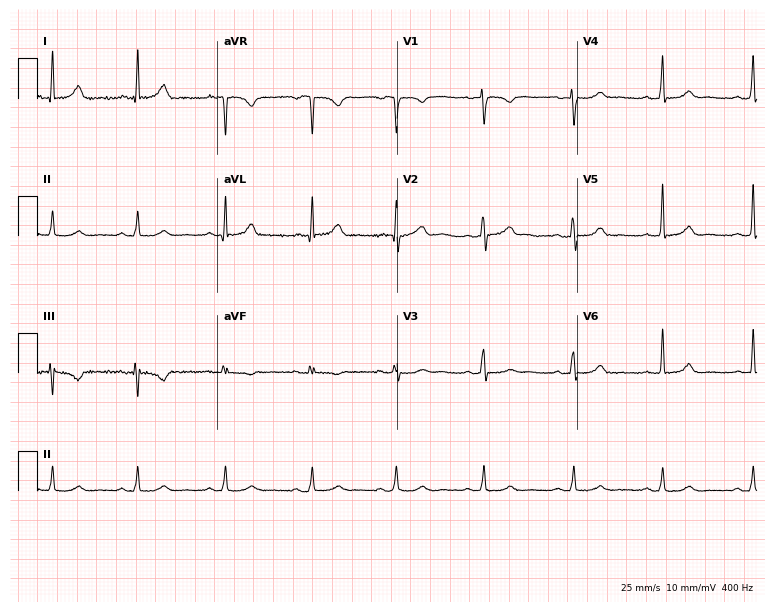
12-lead ECG from a female patient, 45 years old. Recorded interpretation: within normal limits.